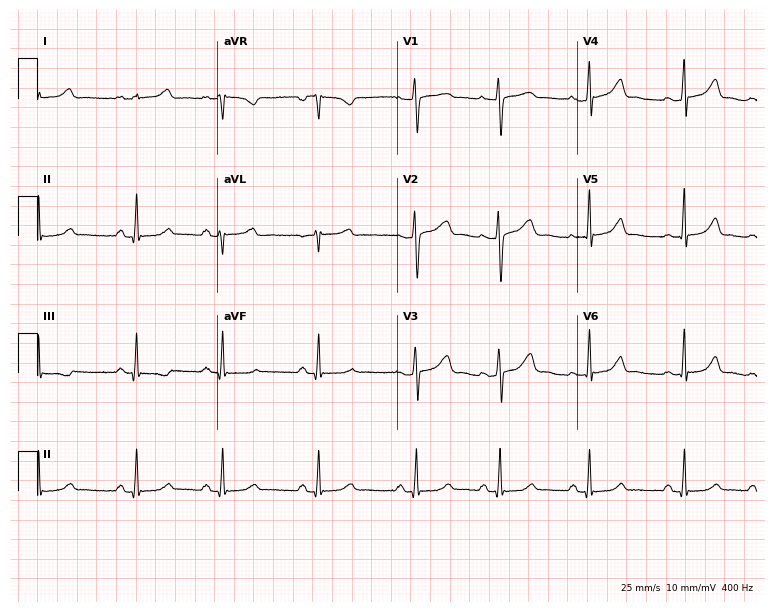
ECG (7.3-second recording at 400 Hz) — a 36-year-old female patient. Labelled as a normal ECG.